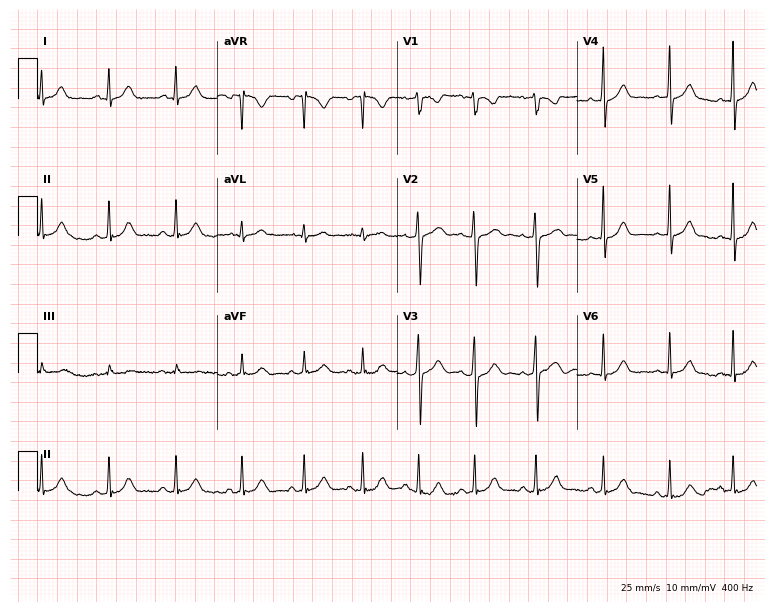
ECG (7.3-second recording at 400 Hz) — a woman, 17 years old. Screened for six findings — first-degree AV block, right bundle branch block (RBBB), left bundle branch block (LBBB), sinus bradycardia, atrial fibrillation (AF), sinus tachycardia — none is recorded.